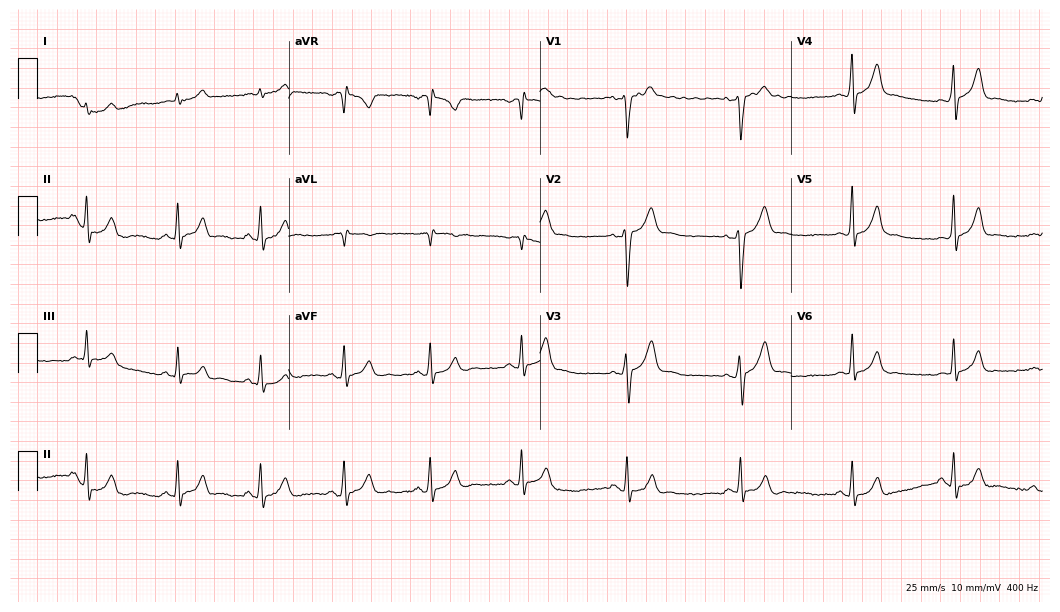
Standard 12-lead ECG recorded from a 39-year-old male patient (10.2-second recording at 400 Hz). Read as a normal ECG.